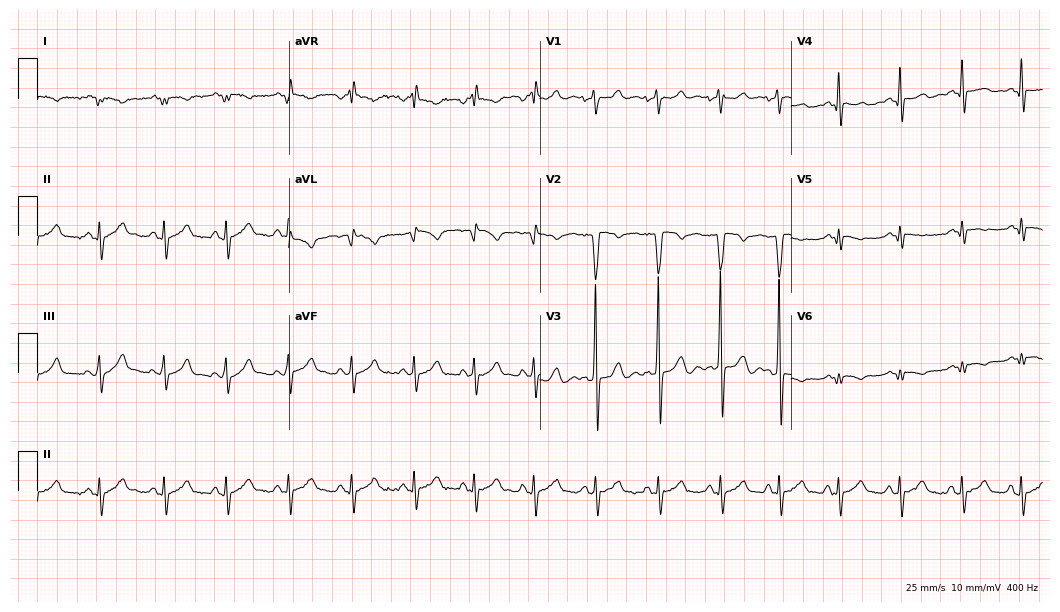
12-lead ECG (10.2-second recording at 400 Hz) from a 22-year-old male. Screened for six findings — first-degree AV block, right bundle branch block, left bundle branch block, sinus bradycardia, atrial fibrillation, sinus tachycardia — none is recorded. Findings outside these six are not listed.